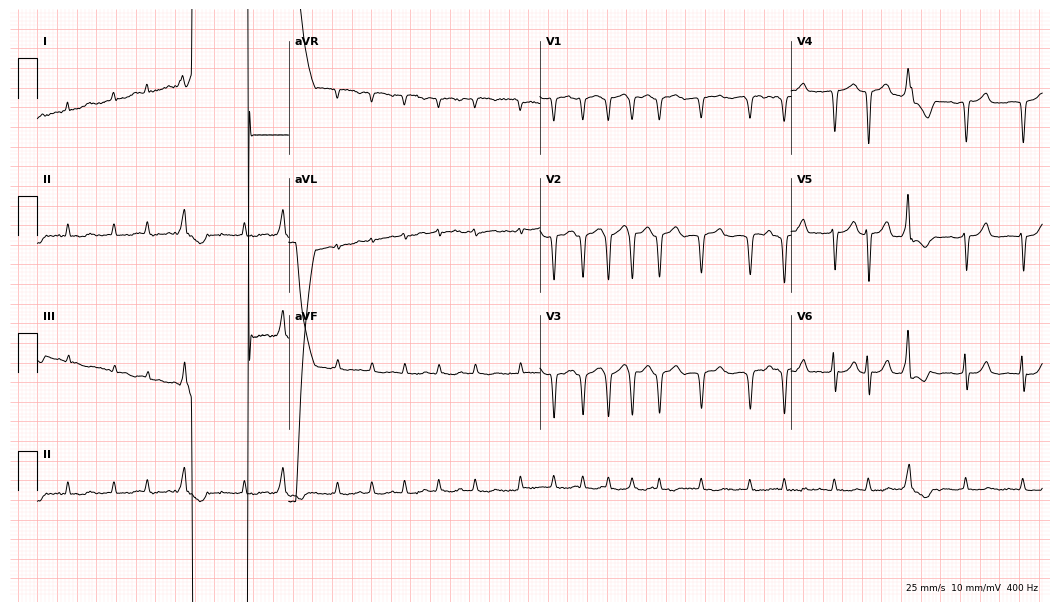
ECG (10.2-second recording at 400 Hz) — an 82-year-old male patient. Findings include atrial fibrillation (AF).